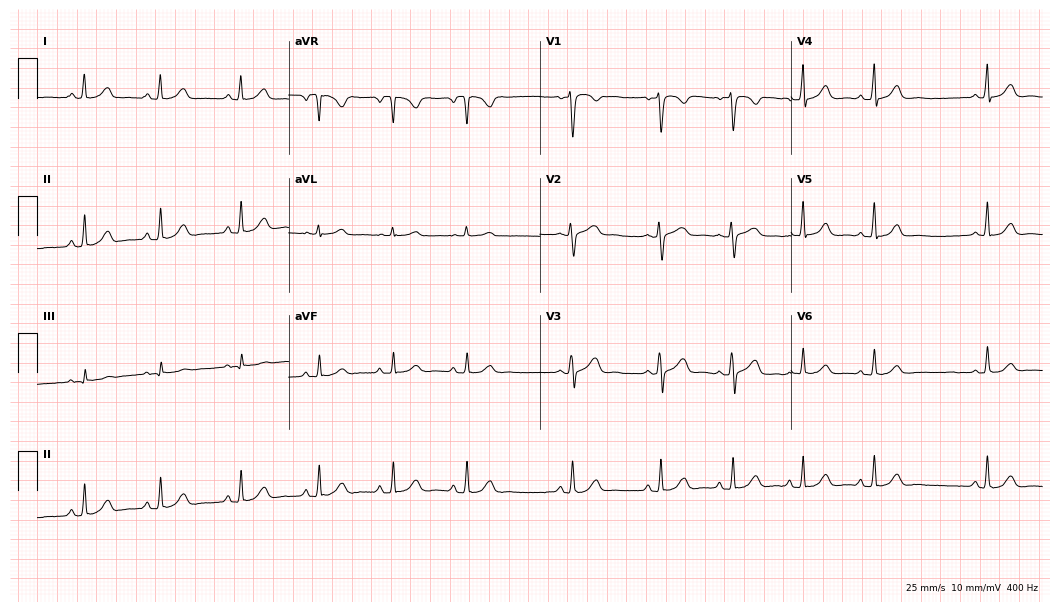
Resting 12-lead electrocardiogram (10.2-second recording at 400 Hz). Patient: a 20-year-old woman. Read as a normal ECG.